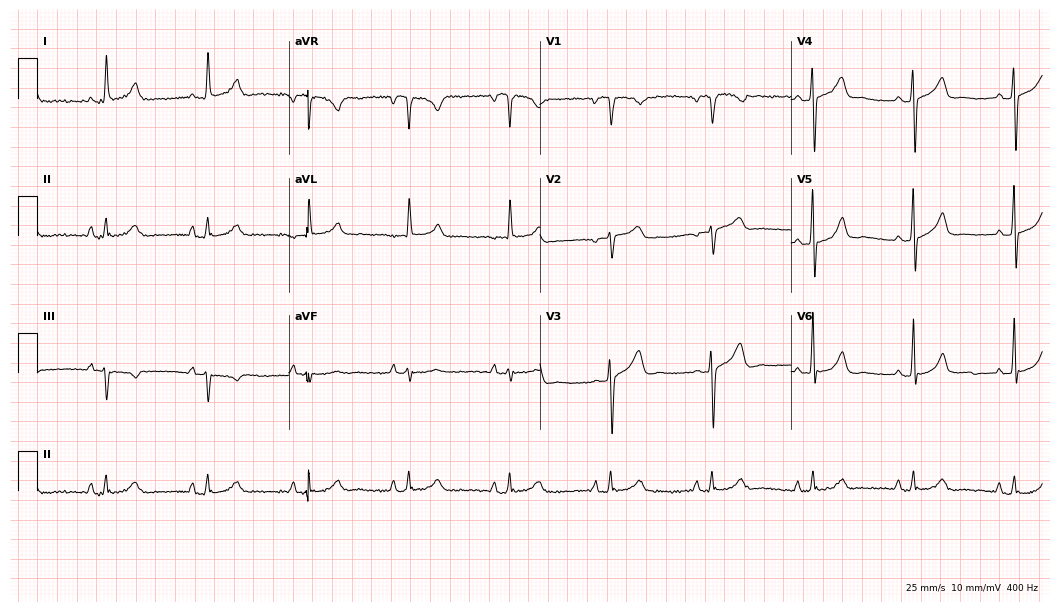
Electrocardiogram (10.2-second recording at 400 Hz), a man, 62 years old. Overall reading on record: normal ECG.